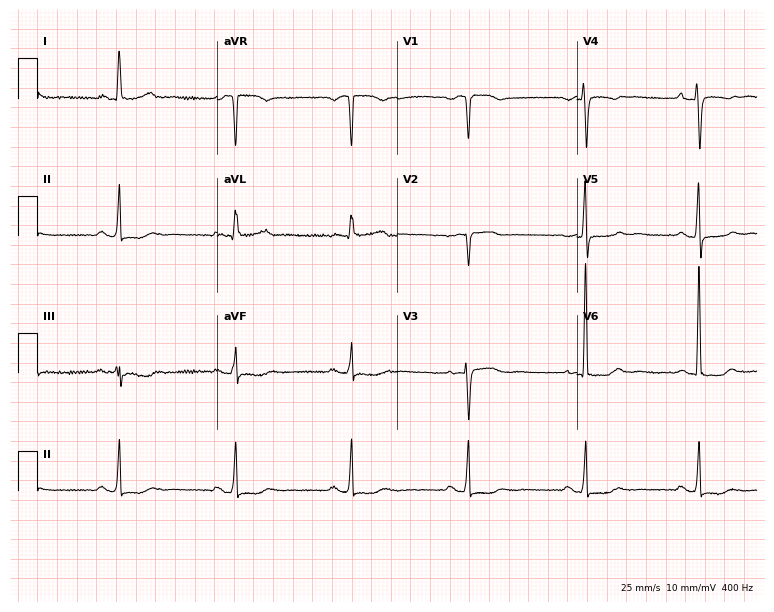
Resting 12-lead electrocardiogram. Patient: a female, 61 years old. None of these six findings is recorded: first-degree AV block, right bundle branch block (RBBB), left bundle branch block (LBBB), sinus bradycardia, atrial fibrillation (AF), sinus tachycardia. Other findings, if any, are not listed.